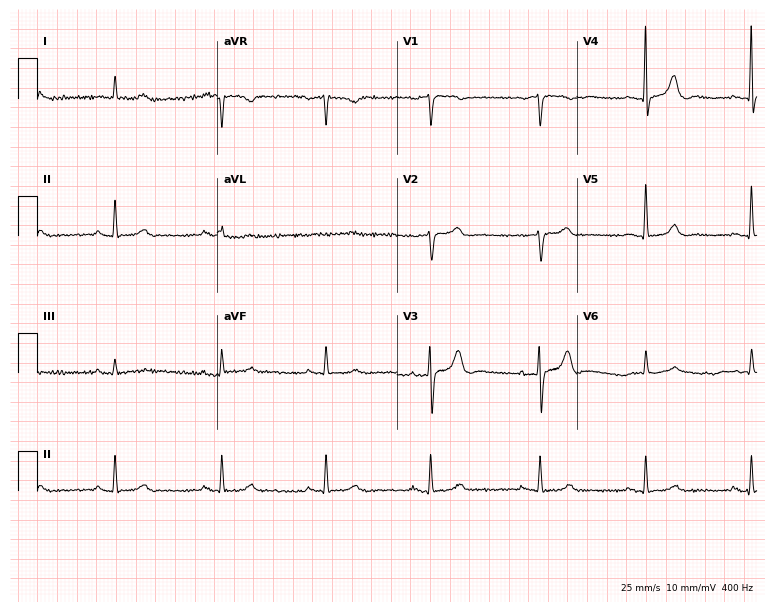
12-lead ECG from a female, 83 years old. No first-degree AV block, right bundle branch block (RBBB), left bundle branch block (LBBB), sinus bradycardia, atrial fibrillation (AF) or sinus tachycardia recorded for this tracing.